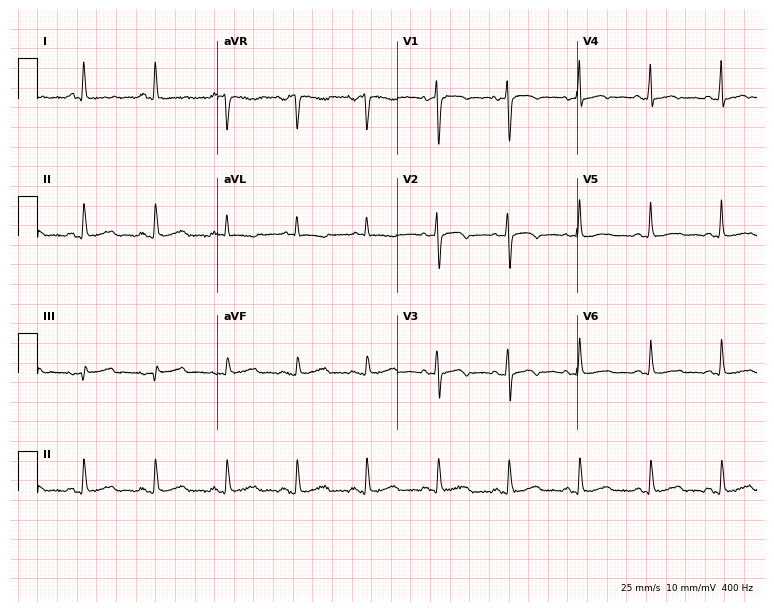
Standard 12-lead ECG recorded from a 50-year-old woman. None of these six findings is recorded: first-degree AV block, right bundle branch block (RBBB), left bundle branch block (LBBB), sinus bradycardia, atrial fibrillation (AF), sinus tachycardia.